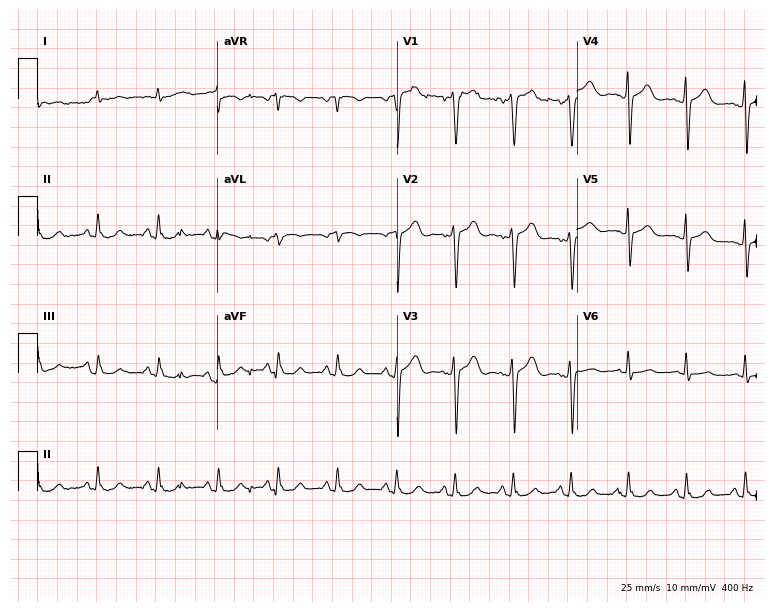
Standard 12-lead ECG recorded from a male, 59 years old (7.3-second recording at 400 Hz). None of these six findings is recorded: first-degree AV block, right bundle branch block, left bundle branch block, sinus bradycardia, atrial fibrillation, sinus tachycardia.